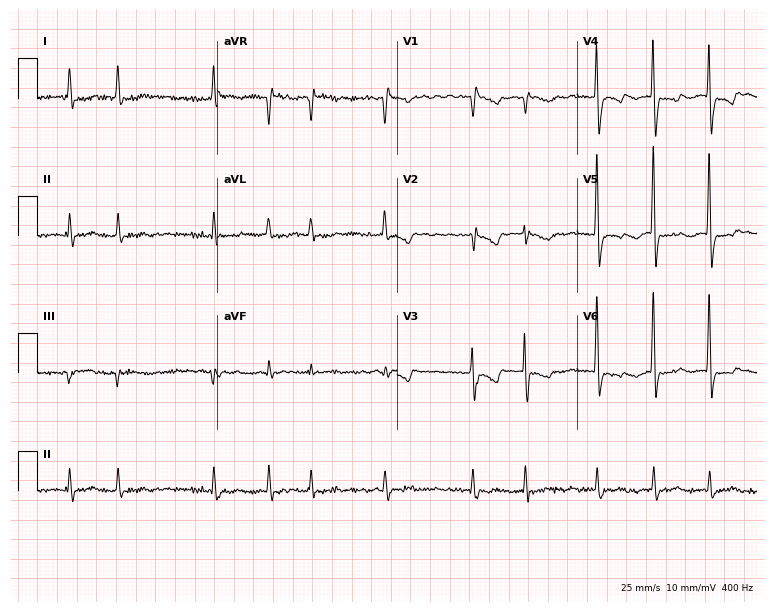
ECG (7.3-second recording at 400 Hz) — a female patient, 77 years old. Findings include atrial fibrillation.